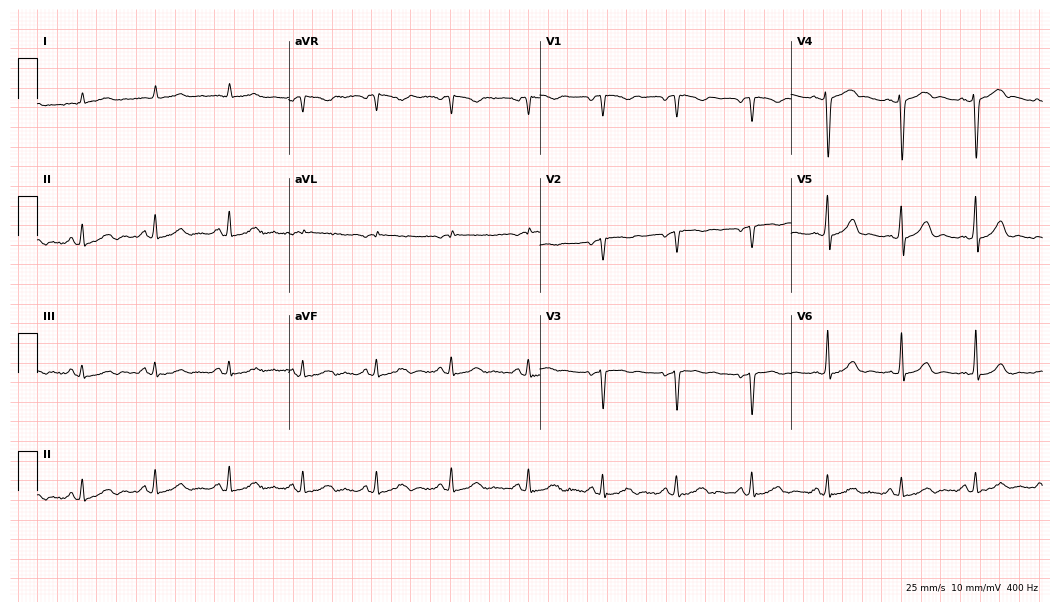
ECG — a male, 72 years old. Screened for six findings — first-degree AV block, right bundle branch block, left bundle branch block, sinus bradycardia, atrial fibrillation, sinus tachycardia — none is recorded.